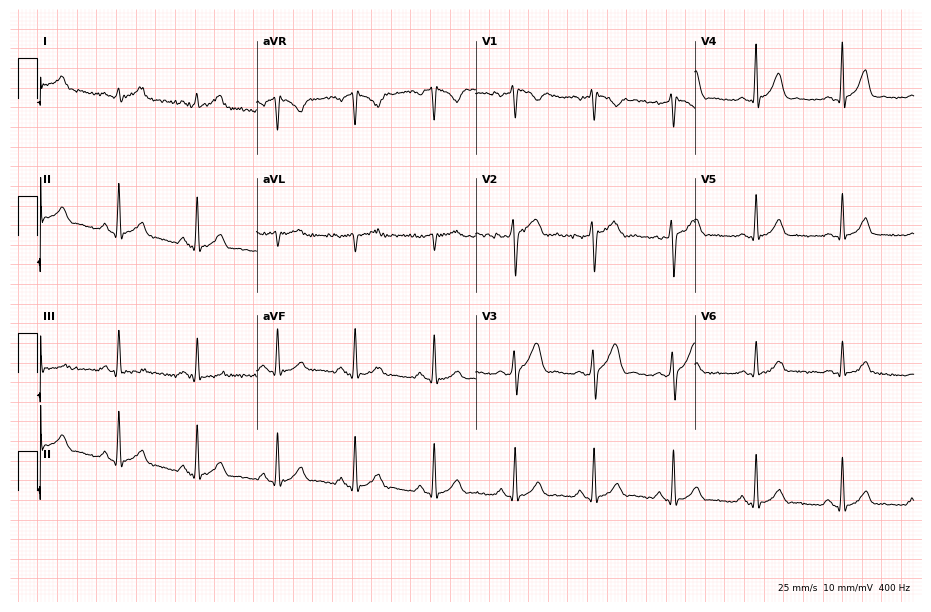
12-lead ECG from a 34-year-old male. Recorded interpretation: within normal limits.